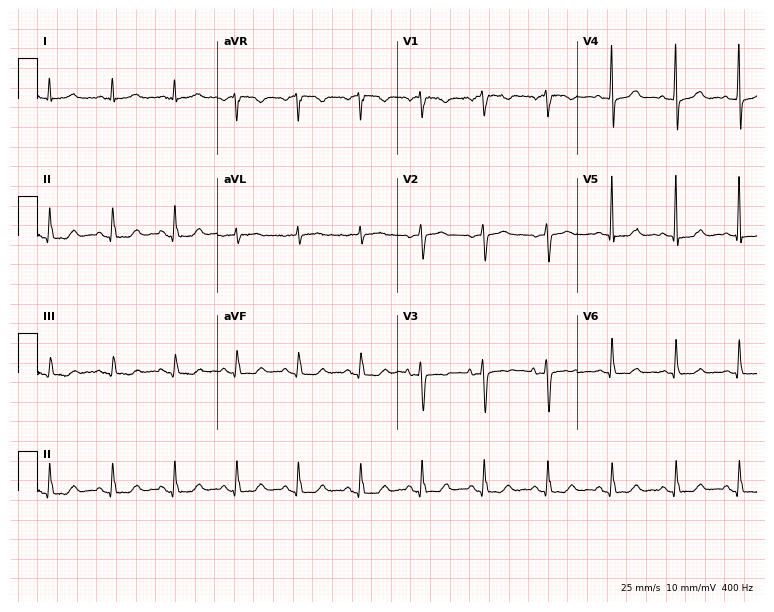
ECG — a 67-year-old female. Labelled as a normal ECG.